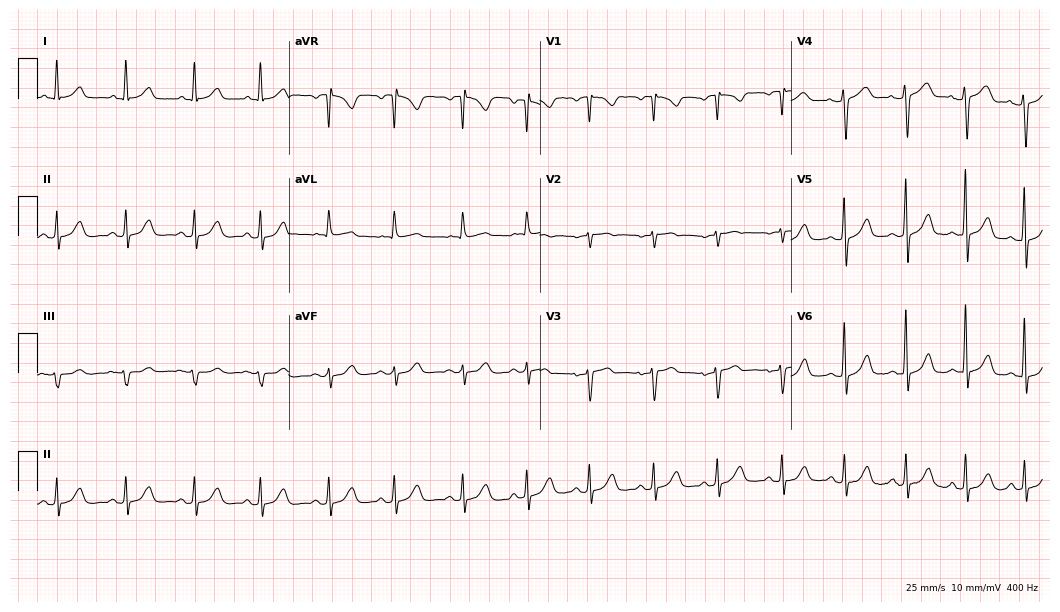
Resting 12-lead electrocardiogram. Patient: a woman, 72 years old. Read as a normal ECG.